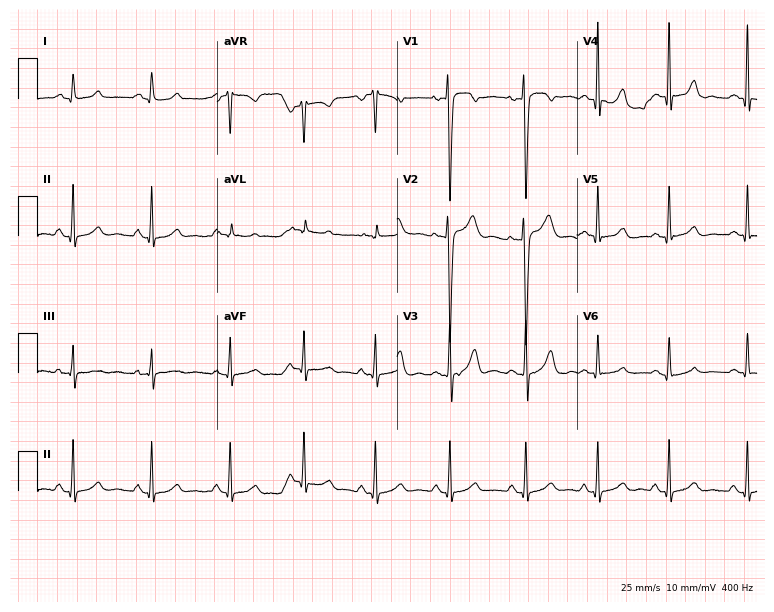
Standard 12-lead ECG recorded from a 24-year-old female patient. None of these six findings is recorded: first-degree AV block, right bundle branch block, left bundle branch block, sinus bradycardia, atrial fibrillation, sinus tachycardia. Other findings, if any, are not listed.